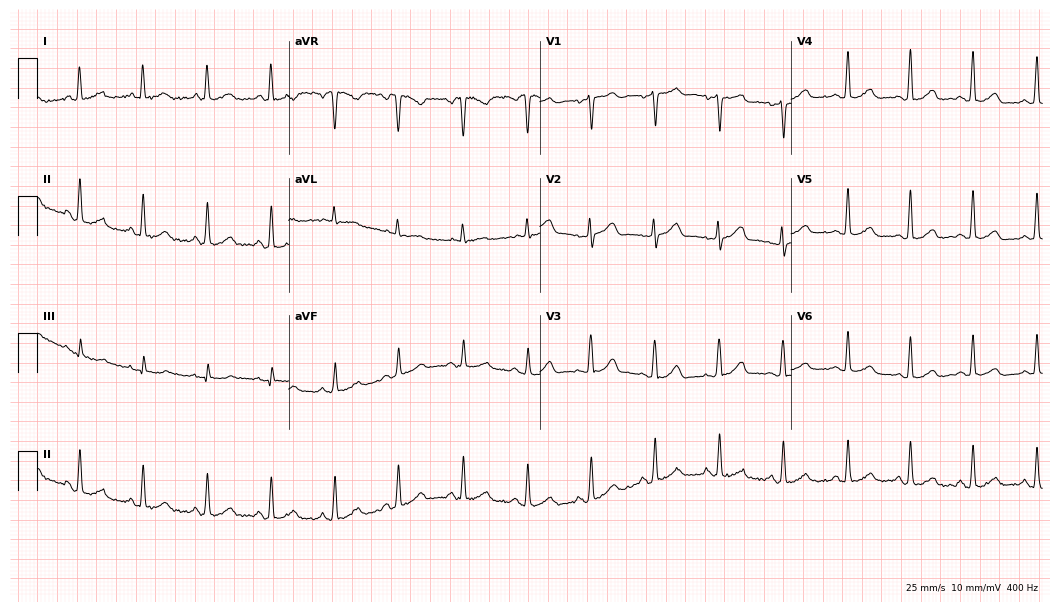
Electrocardiogram (10.2-second recording at 400 Hz), a 64-year-old female. Overall reading on record: normal ECG.